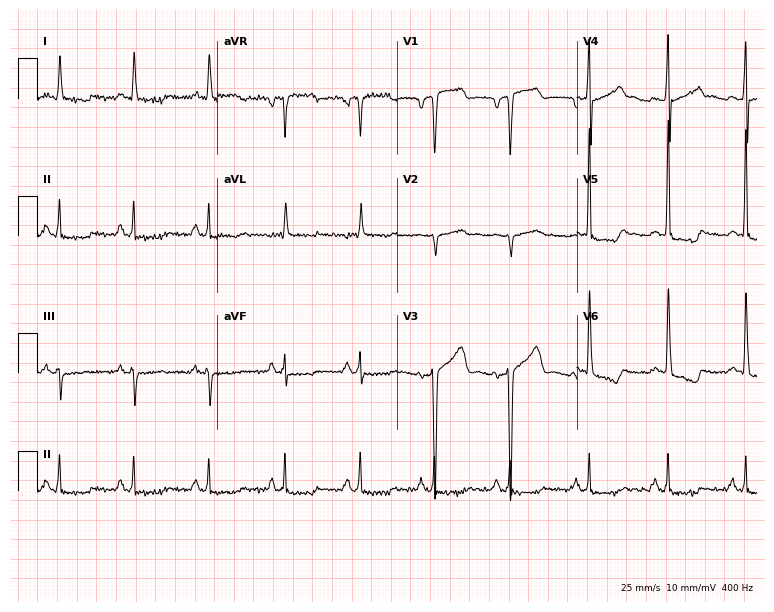
12-lead ECG (7.3-second recording at 400 Hz) from a man, 61 years old. Screened for six findings — first-degree AV block, right bundle branch block (RBBB), left bundle branch block (LBBB), sinus bradycardia, atrial fibrillation (AF), sinus tachycardia — none is recorded. Other findings, if any, are not listed.